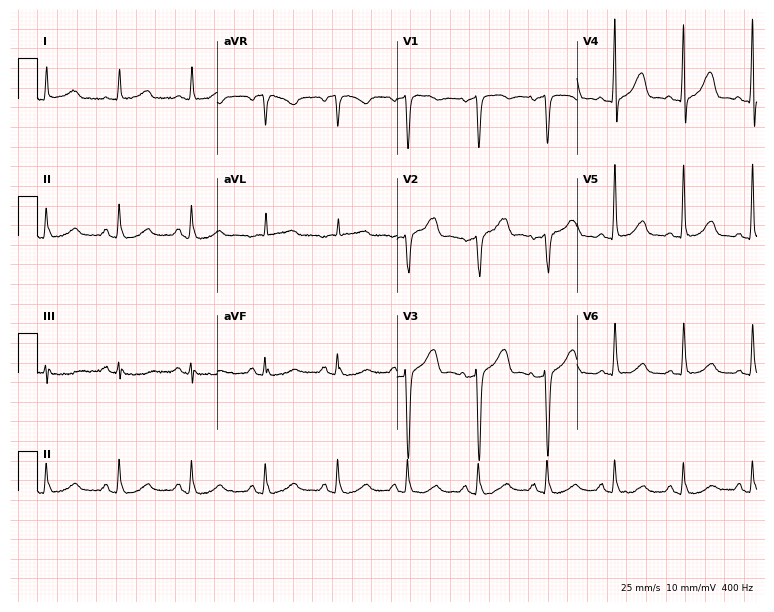
12-lead ECG (7.3-second recording at 400 Hz) from a 58-year-old female patient. Screened for six findings — first-degree AV block, right bundle branch block, left bundle branch block, sinus bradycardia, atrial fibrillation, sinus tachycardia — none is recorded. Other findings, if any, are not listed.